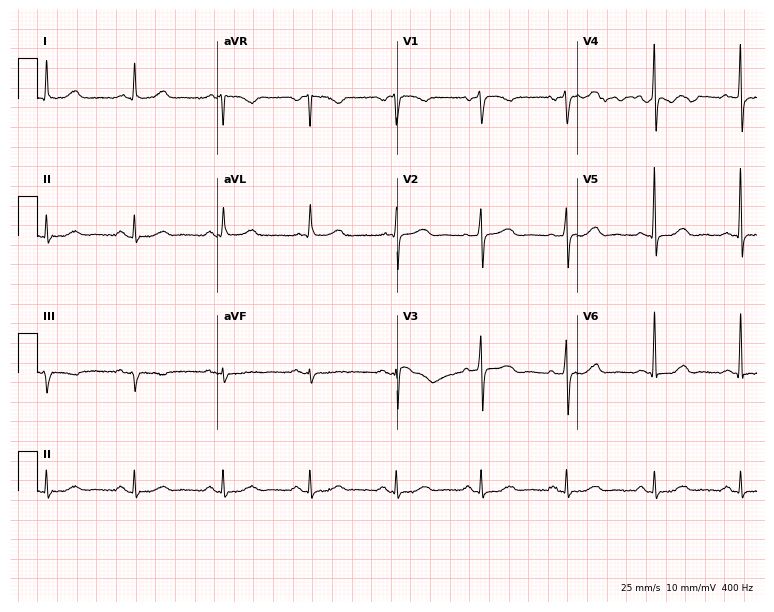
Electrocardiogram, a 71-year-old female patient. Overall reading on record: normal ECG.